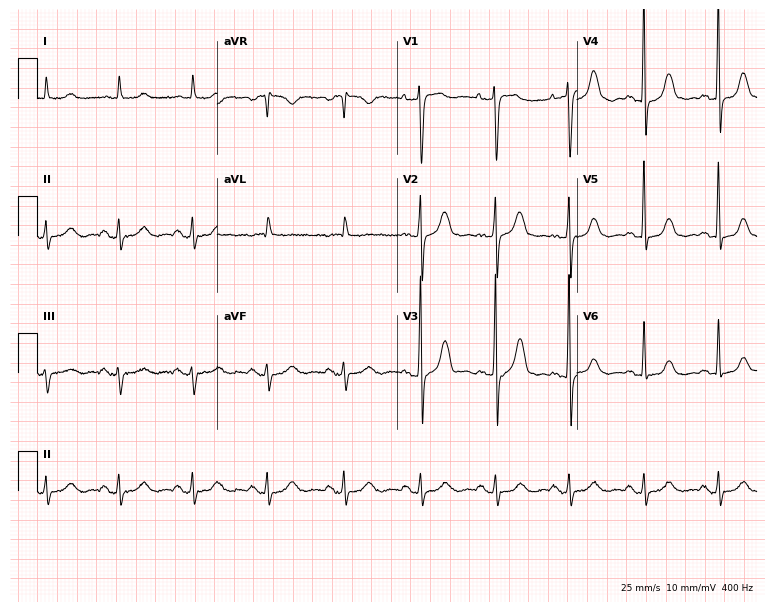
Resting 12-lead electrocardiogram. Patient: an 87-year-old woman. None of these six findings is recorded: first-degree AV block, right bundle branch block, left bundle branch block, sinus bradycardia, atrial fibrillation, sinus tachycardia. Other findings, if any, are not listed.